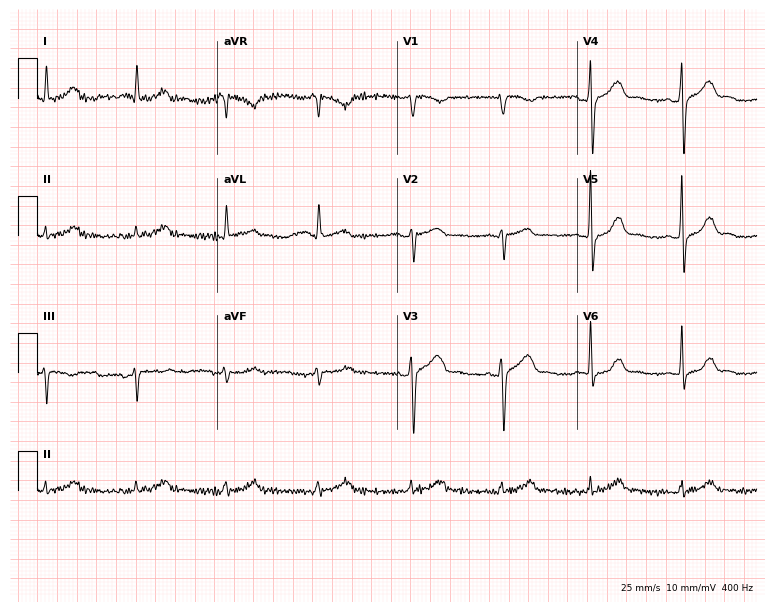
Standard 12-lead ECG recorded from a female patient, 61 years old (7.3-second recording at 400 Hz). Read as a normal ECG.